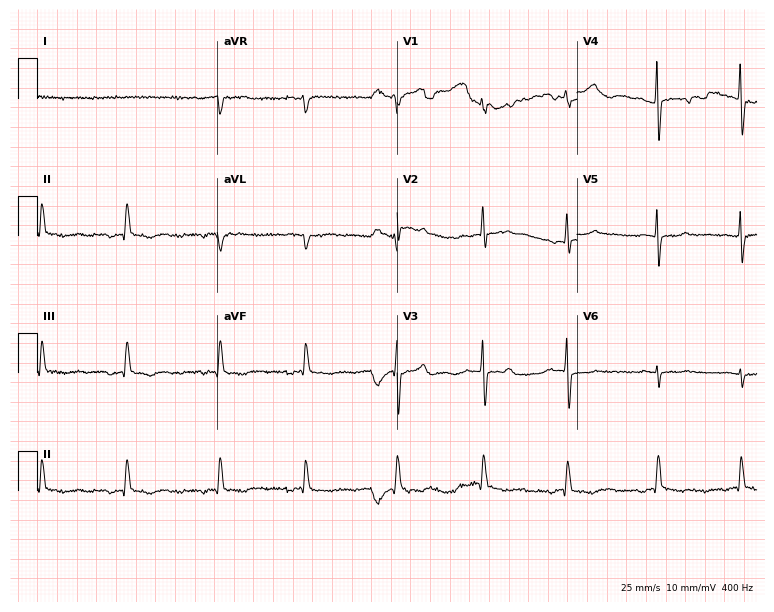
Standard 12-lead ECG recorded from a woman, 86 years old. None of these six findings is recorded: first-degree AV block, right bundle branch block (RBBB), left bundle branch block (LBBB), sinus bradycardia, atrial fibrillation (AF), sinus tachycardia. Other findings, if any, are not listed.